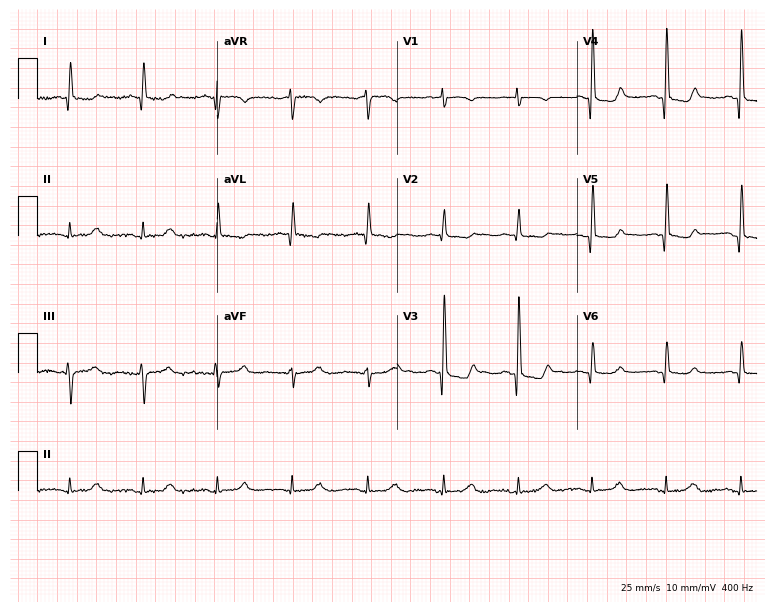
12-lead ECG from a 75-year-old female patient (7.3-second recording at 400 Hz). No first-degree AV block, right bundle branch block (RBBB), left bundle branch block (LBBB), sinus bradycardia, atrial fibrillation (AF) or sinus tachycardia recorded for this tracing. Only these six findings were labelled.